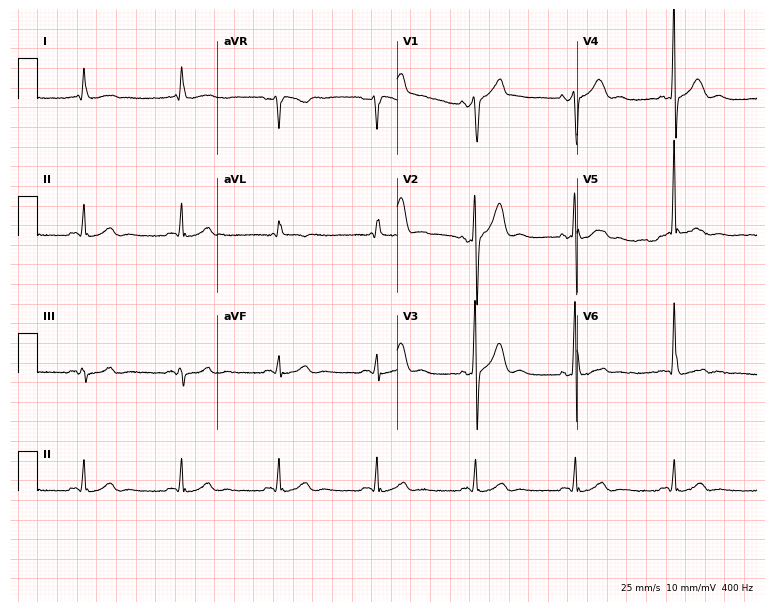
Electrocardiogram, a male patient, 61 years old. Overall reading on record: normal ECG.